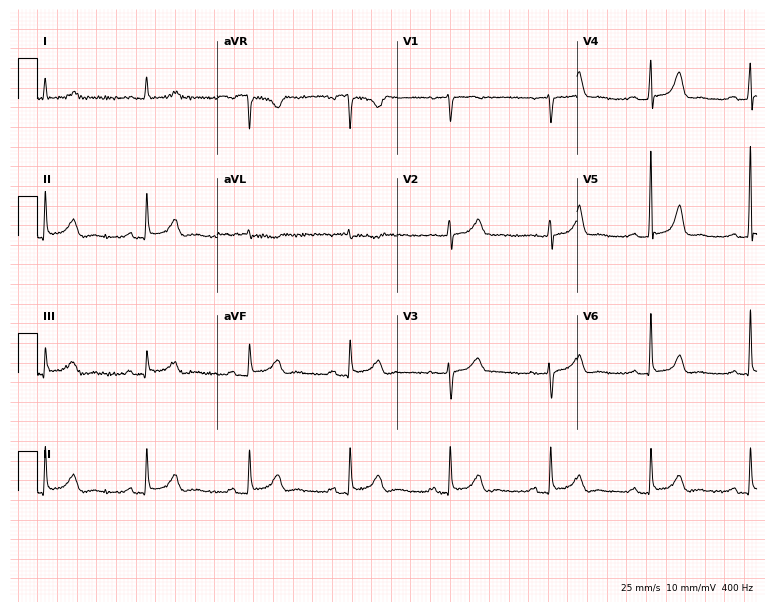
12-lead ECG from a woman, 62 years old. Labelled as a normal ECG.